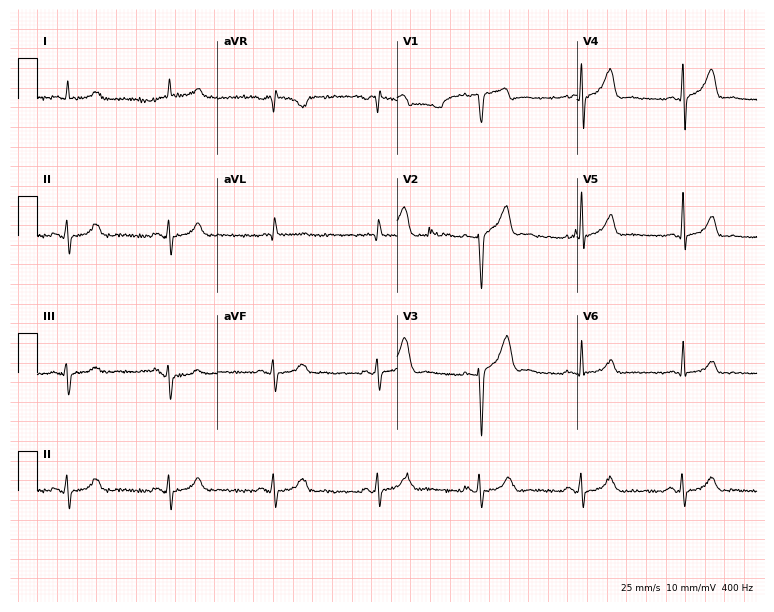
Resting 12-lead electrocardiogram (7.3-second recording at 400 Hz). Patient: a 64-year-old male. None of these six findings is recorded: first-degree AV block, right bundle branch block, left bundle branch block, sinus bradycardia, atrial fibrillation, sinus tachycardia. Other findings, if any, are not listed.